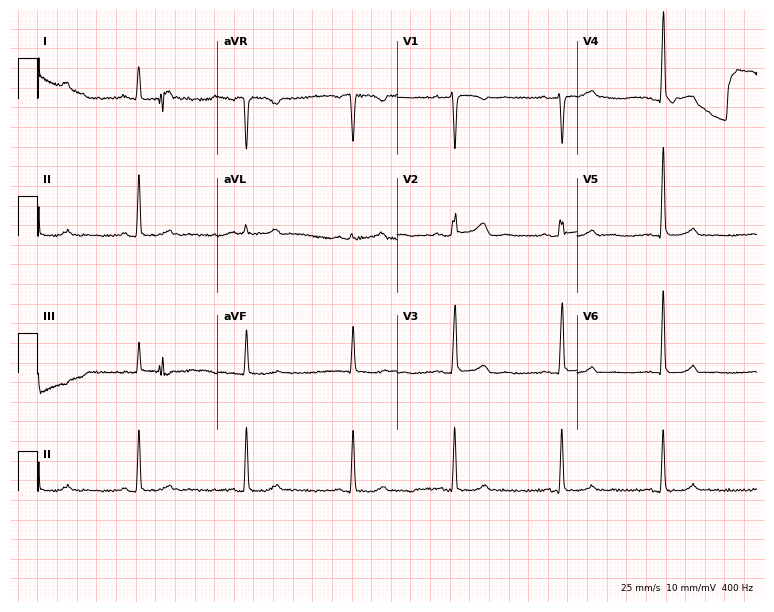
12-lead ECG from a woman, 61 years old. No first-degree AV block, right bundle branch block, left bundle branch block, sinus bradycardia, atrial fibrillation or sinus tachycardia recorded for this tracing. Findings outside these six are not listed.